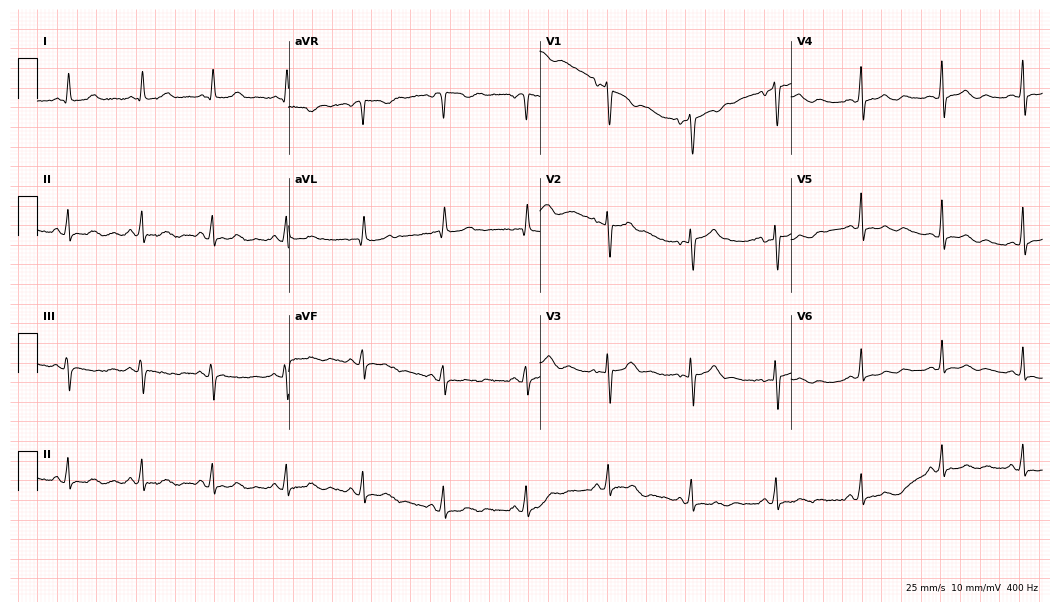
ECG (10.2-second recording at 400 Hz) — a female patient, 51 years old. Labelled as a normal ECG.